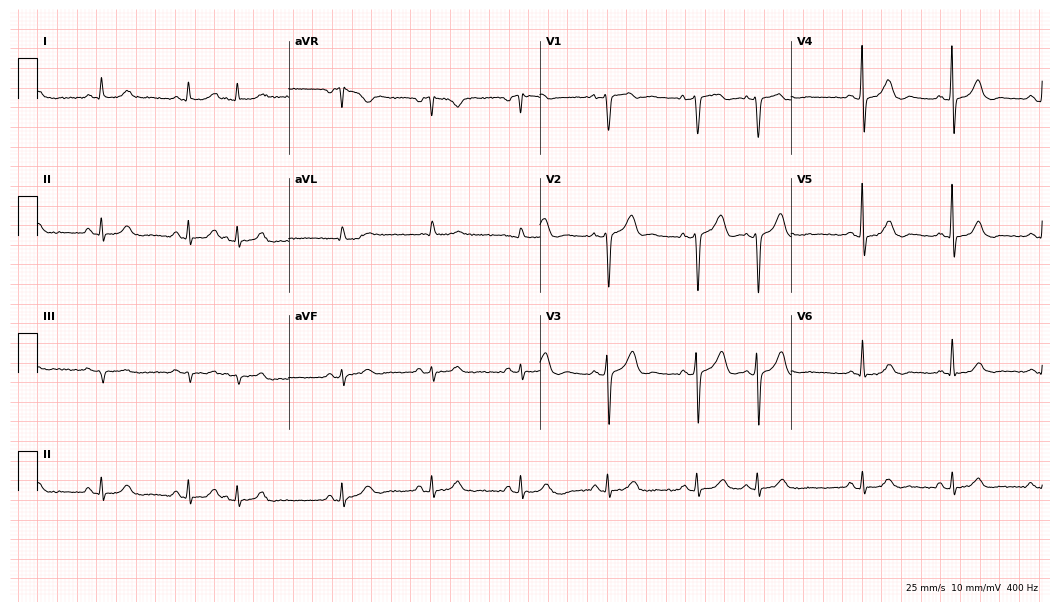
Resting 12-lead electrocardiogram (10.2-second recording at 400 Hz). Patient: a man, 62 years old. Read as a normal ECG.